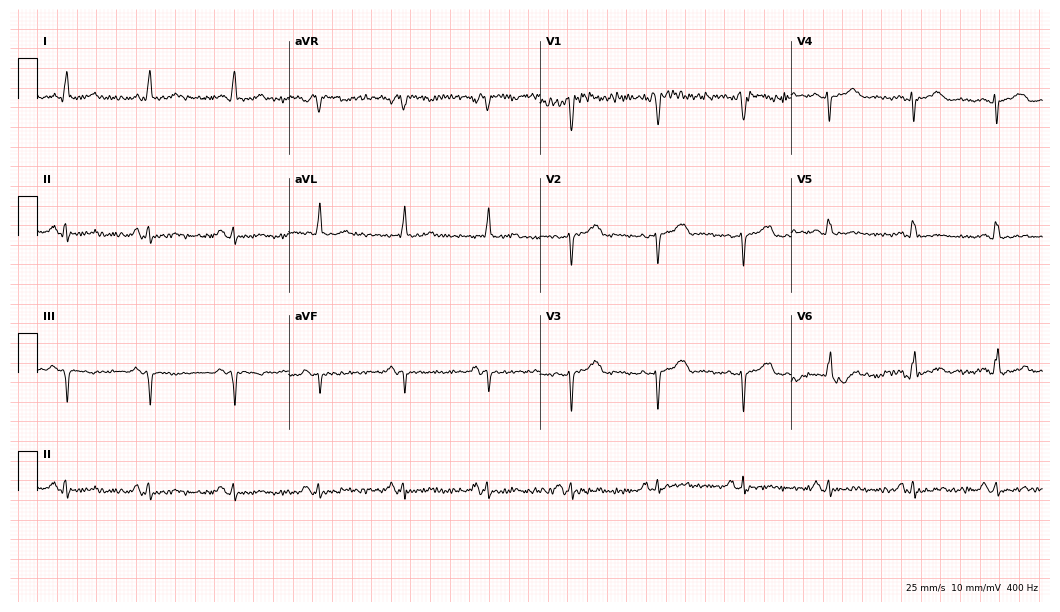
12-lead ECG from a female, 72 years old. Screened for six findings — first-degree AV block, right bundle branch block, left bundle branch block, sinus bradycardia, atrial fibrillation, sinus tachycardia — none is recorded. Other findings, if any, are not listed.